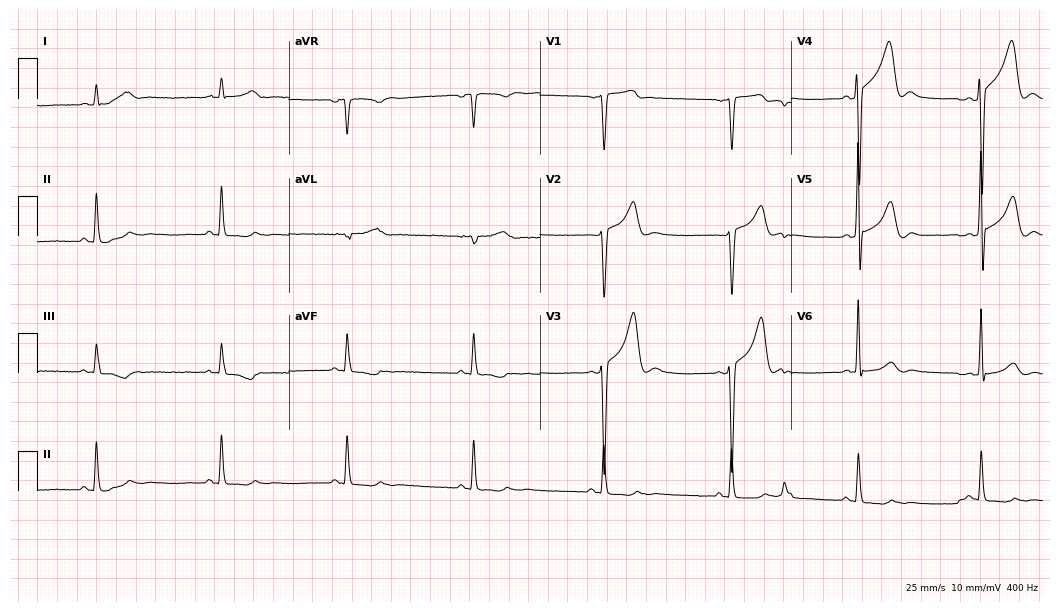
12-lead ECG from a 42-year-old man (10.2-second recording at 400 Hz). Shows sinus bradycardia (a sinus rate of 50 beats per minute or less).